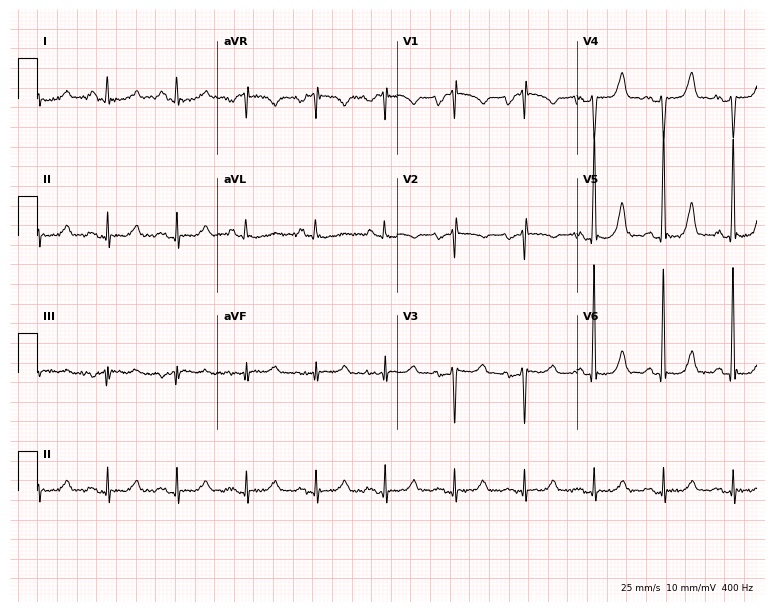
ECG — a woman, 37 years old. Screened for six findings — first-degree AV block, right bundle branch block, left bundle branch block, sinus bradycardia, atrial fibrillation, sinus tachycardia — none is recorded.